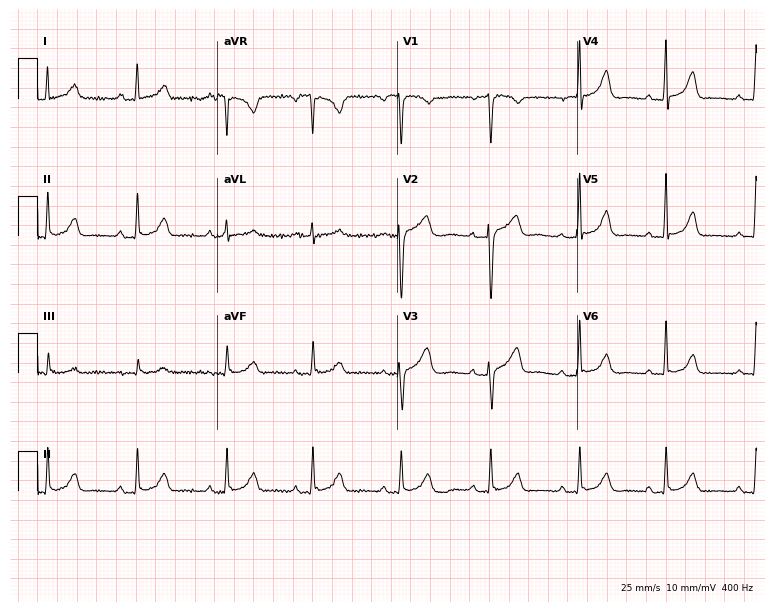
12-lead ECG from a 59-year-old woman (7.3-second recording at 400 Hz). Recorded interpretation: within normal limits.